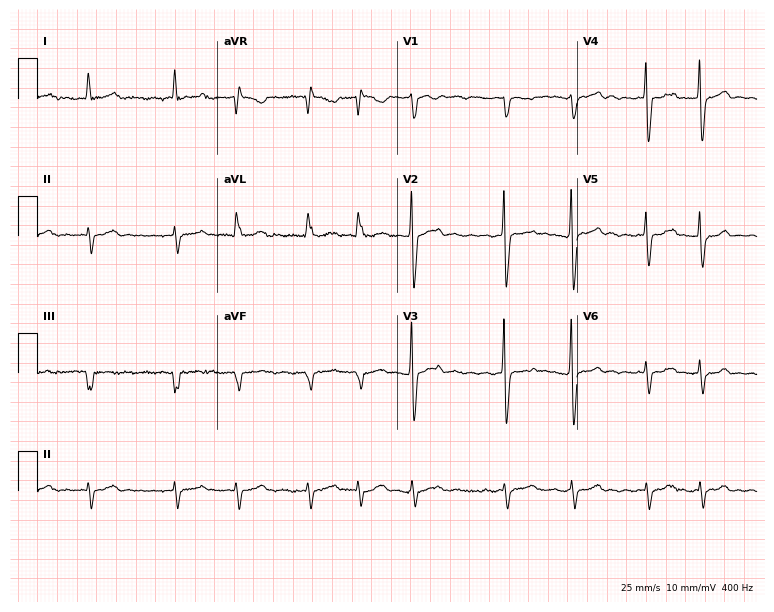
ECG (7.3-second recording at 400 Hz) — a male, 77 years old. Findings include atrial fibrillation.